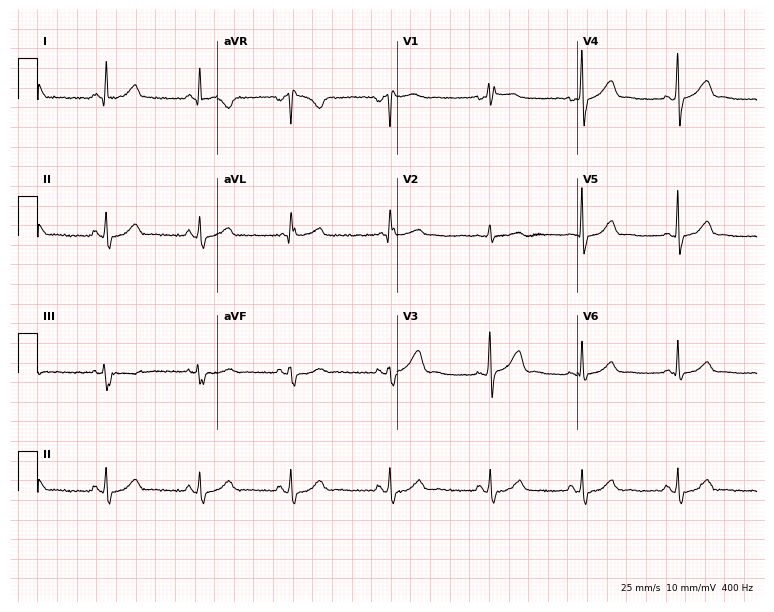
12-lead ECG (7.3-second recording at 400 Hz) from a 32-year-old female. Screened for six findings — first-degree AV block, right bundle branch block, left bundle branch block, sinus bradycardia, atrial fibrillation, sinus tachycardia — none is recorded.